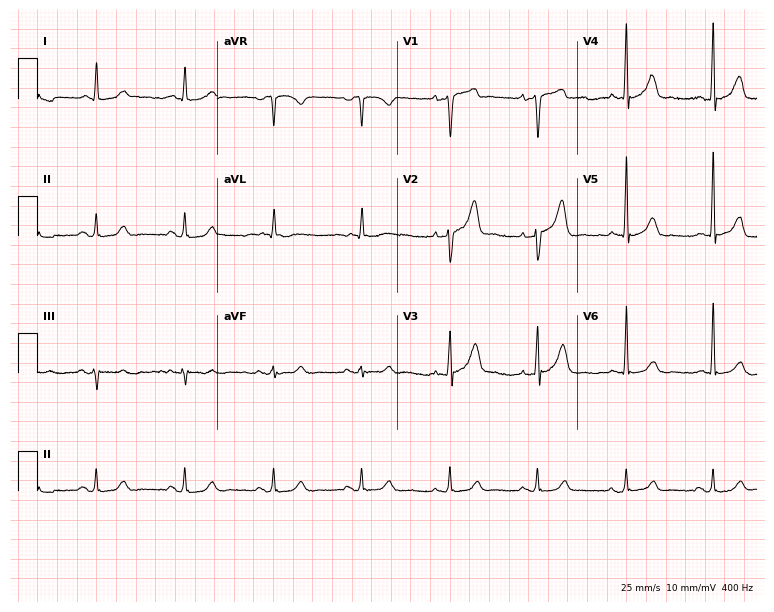
ECG — an 87-year-old man. Screened for six findings — first-degree AV block, right bundle branch block, left bundle branch block, sinus bradycardia, atrial fibrillation, sinus tachycardia — none is recorded. Other findings, if any, are not listed.